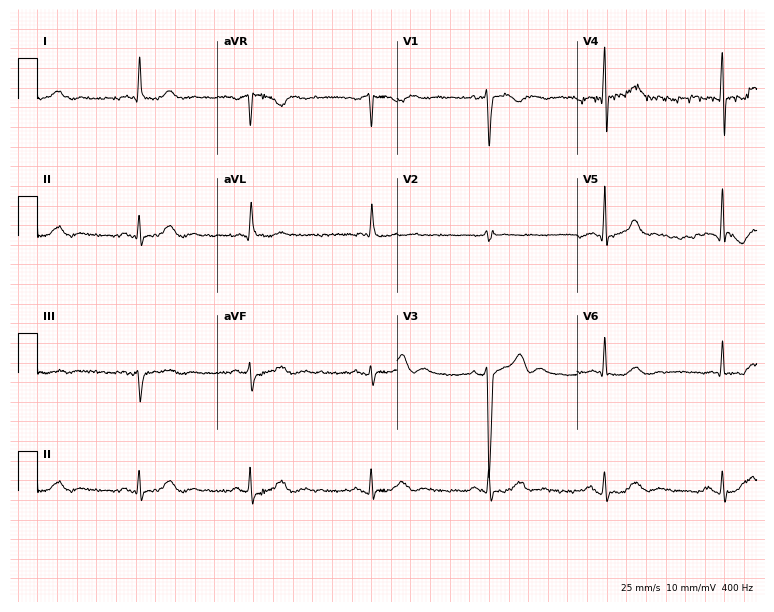
12-lead ECG from a man, 85 years old. No first-degree AV block, right bundle branch block, left bundle branch block, sinus bradycardia, atrial fibrillation or sinus tachycardia recorded for this tracing. Only these six findings were labelled.